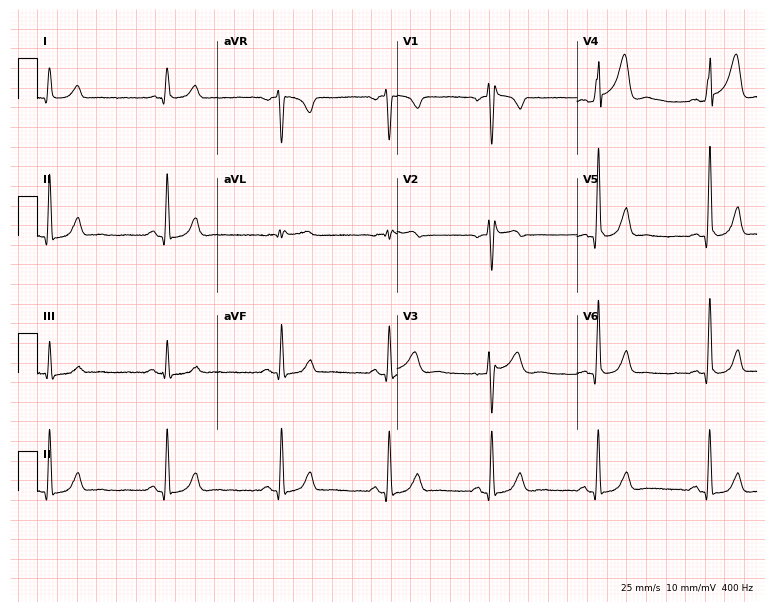
12-lead ECG from a 39-year-old male (7.3-second recording at 400 Hz). Recorded interpretation: within normal limits.